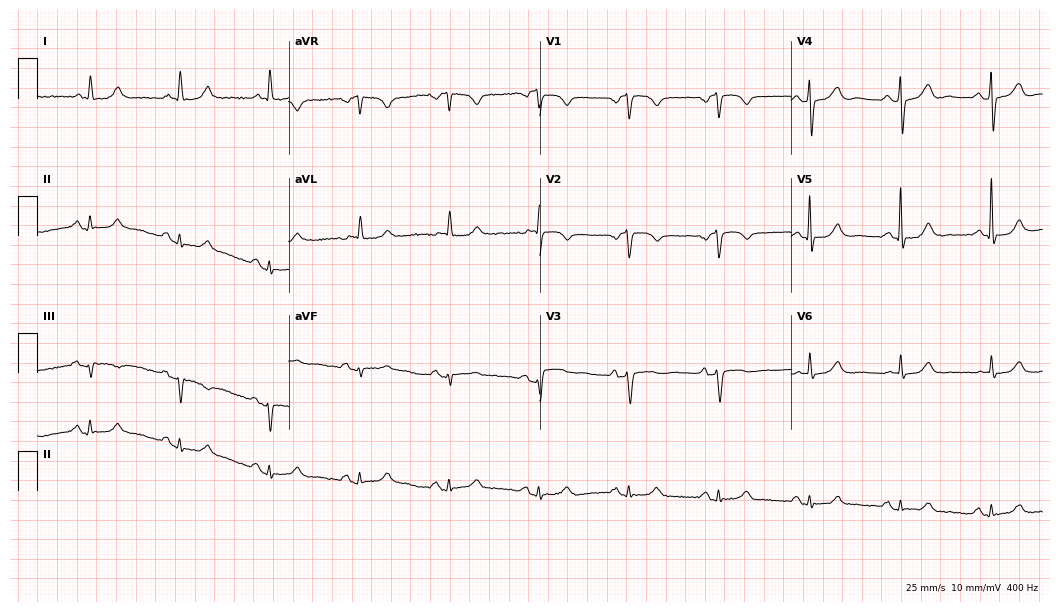
12-lead ECG from a female patient, 77 years old. Recorded interpretation: within normal limits.